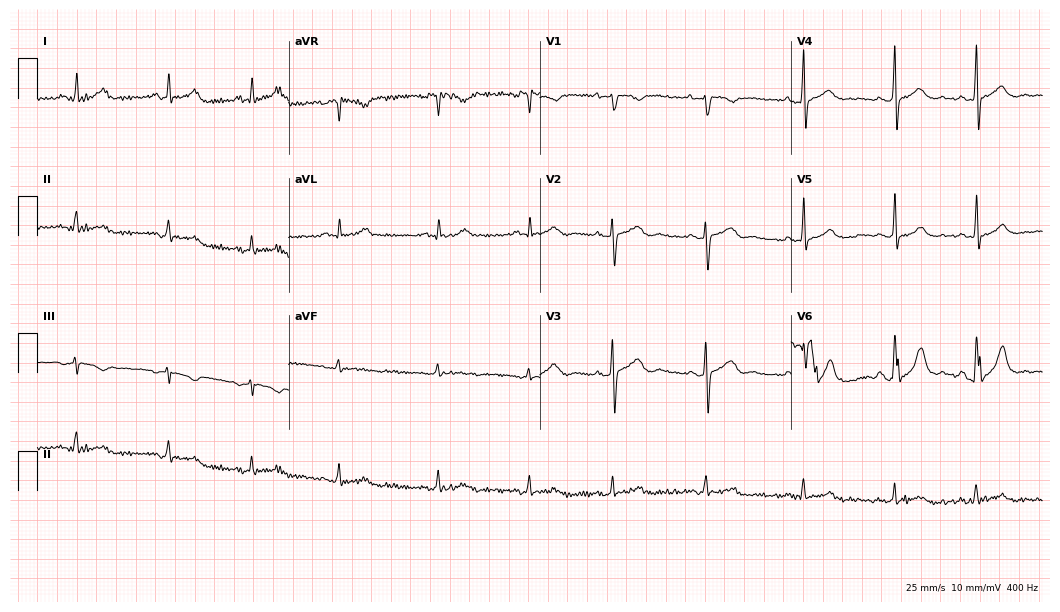
Electrocardiogram, a woman, 21 years old. Overall reading on record: normal ECG.